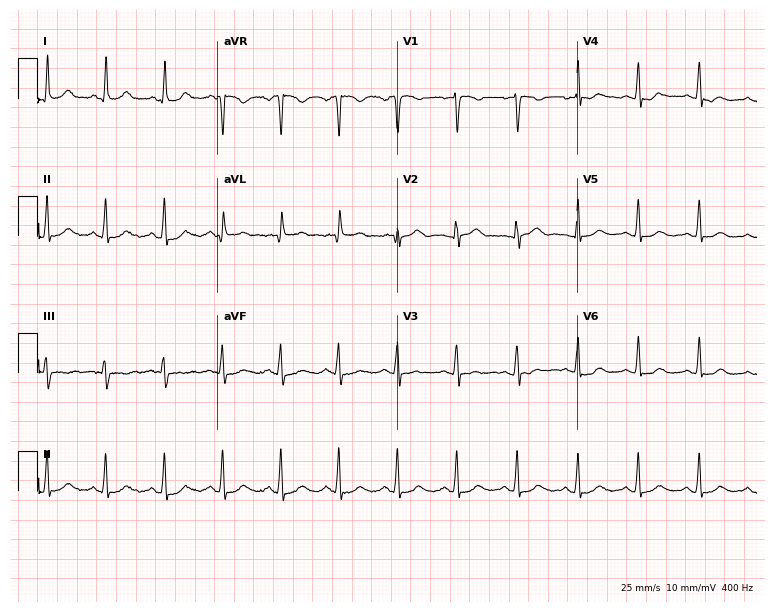
Electrocardiogram (7.3-second recording at 400 Hz), a 38-year-old female patient. Overall reading on record: normal ECG.